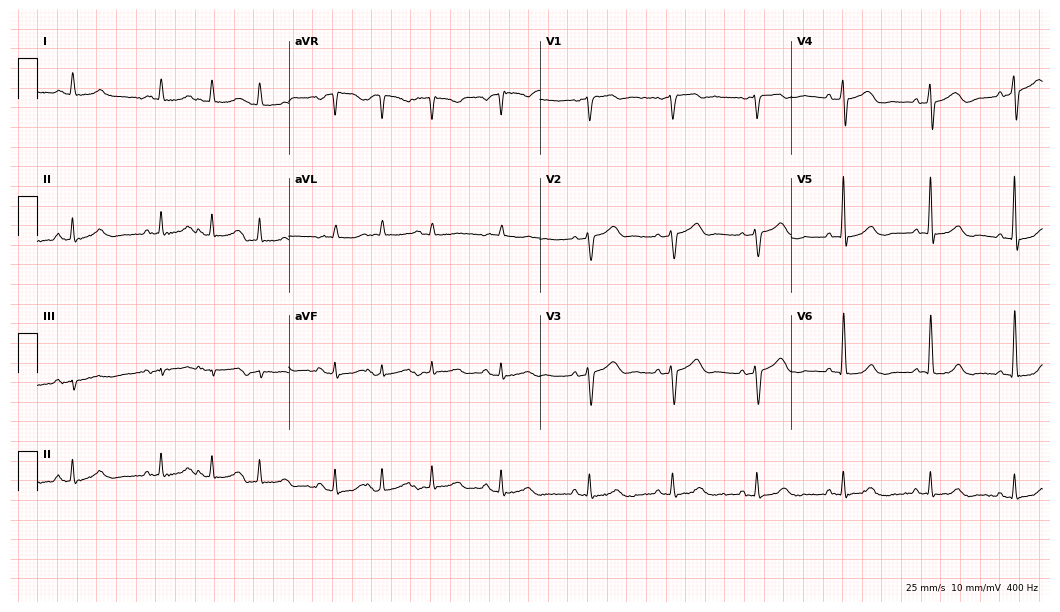
ECG — a woman, 80 years old. Screened for six findings — first-degree AV block, right bundle branch block, left bundle branch block, sinus bradycardia, atrial fibrillation, sinus tachycardia — none is recorded. Only these six findings were labelled.